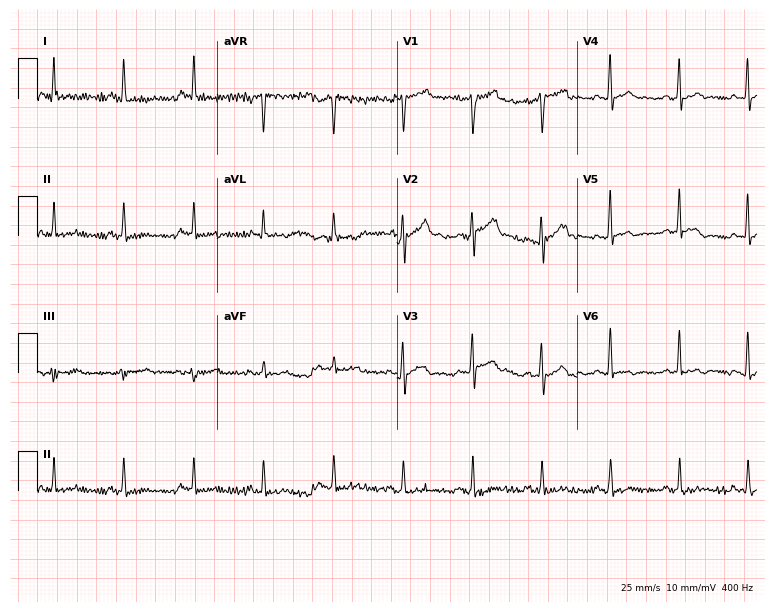
12-lead ECG (7.3-second recording at 400 Hz) from a man, 38 years old. Screened for six findings — first-degree AV block, right bundle branch block (RBBB), left bundle branch block (LBBB), sinus bradycardia, atrial fibrillation (AF), sinus tachycardia — none is recorded.